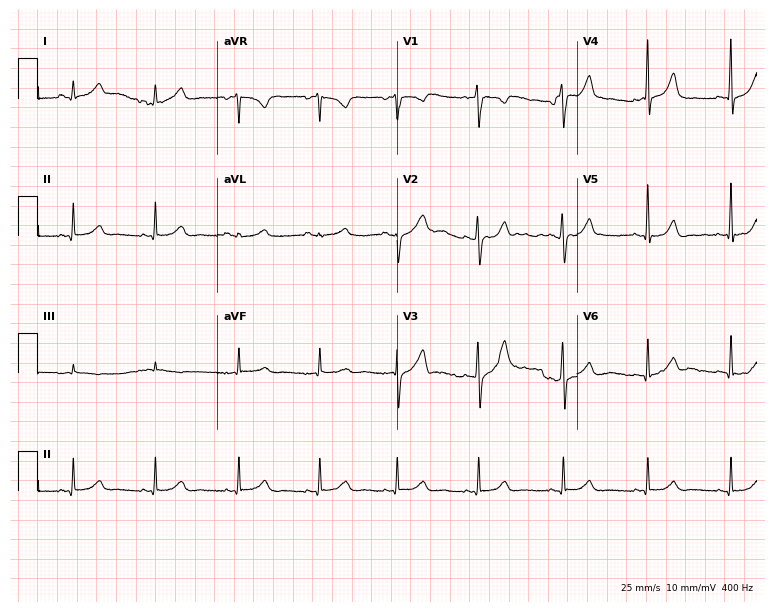
Standard 12-lead ECG recorded from a 28-year-old female. Read as a normal ECG.